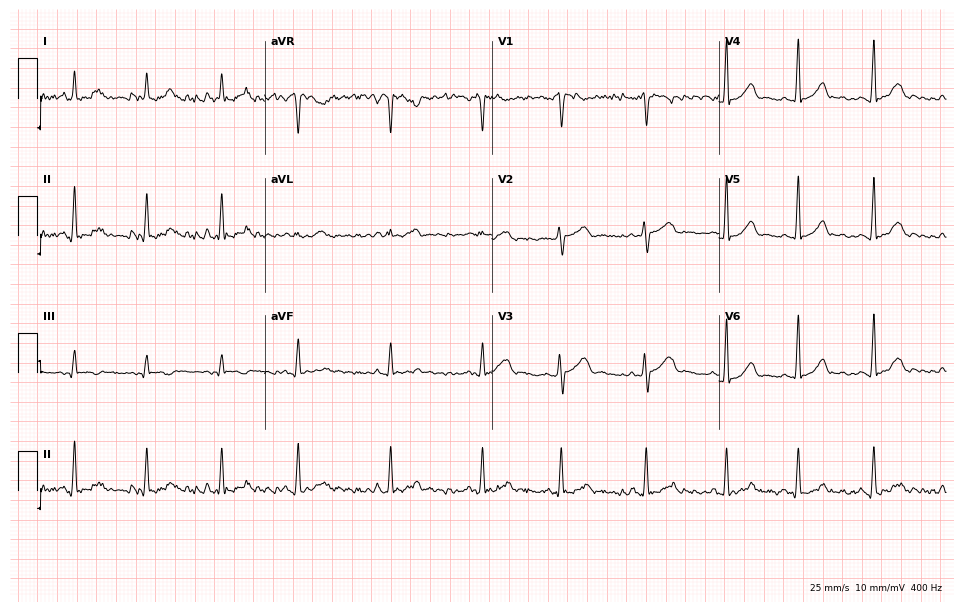
Electrocardiogram, a female patient, 26 years old. Of the six screened findings (first-degree AV block, right bundle branch block, left bundle branch block, sinus bradycardia, atrial fibrillation, sinus tachycardia), none is recorded. Findings outside these six are not listed.